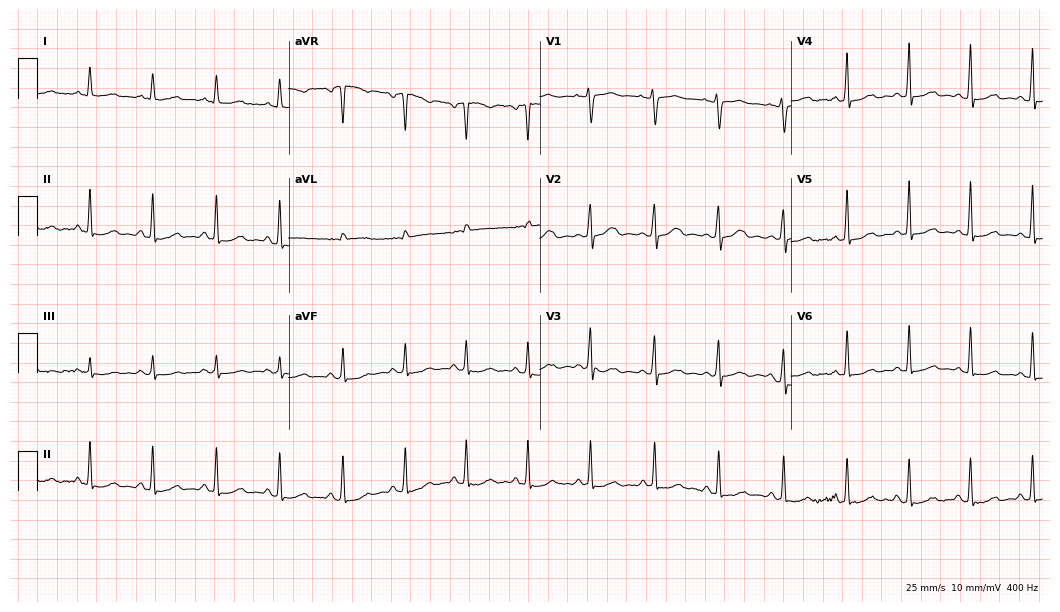
Standard 12-lead ECG recorded from a 31-year-old woman (10.2-second recording at 400 Hz). None of these six findings is recorded: first-degree AV block, right bundle branch block, left bundle branch block, sinus bradycardia, atrial fibrillation, sinus tachycardia. Only these six findings were labelled.